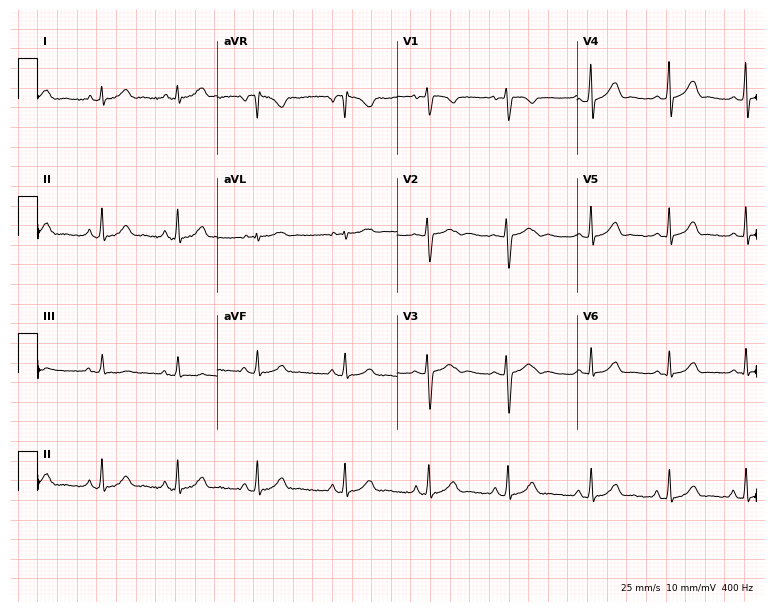
12-lead ECG from a woman, 20 years old (7.3-second recording at 400 Hz). No first-degree AV block, right bundle branch block, left bundle branch block, sinus bradycardia, atrial fibrillation or sinus tachycardia recorded for this tracing. Findings outside these six are not listed.